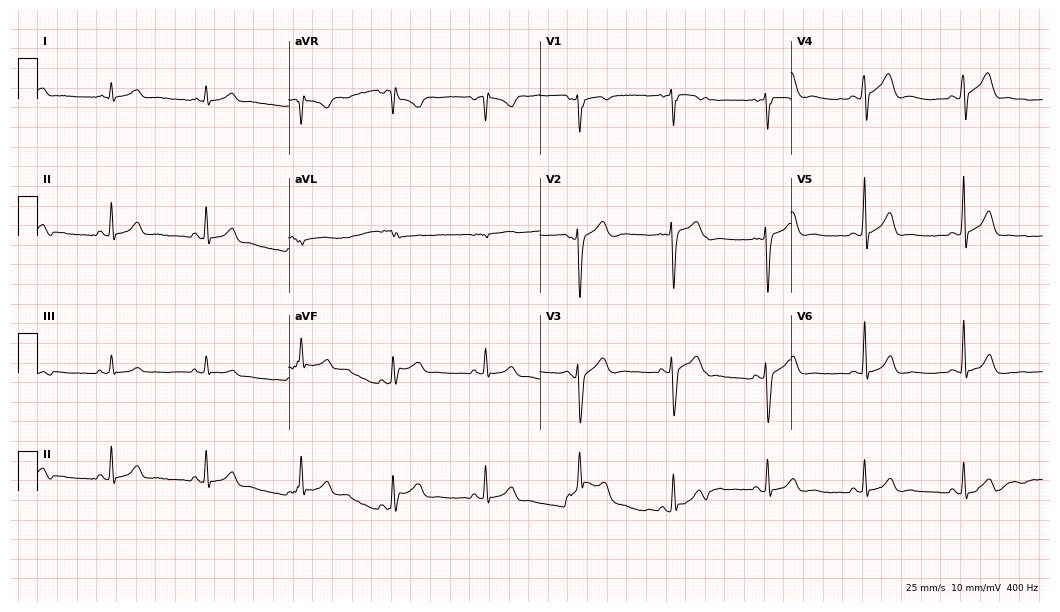
12-lead ECG from a 31-year-old man. Labelled as a normal ECG.